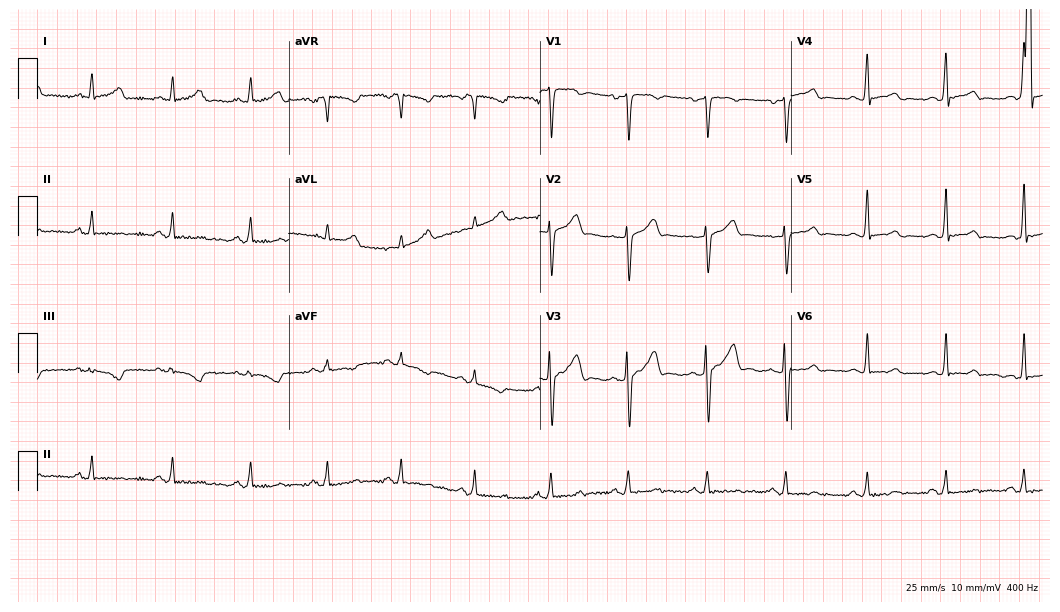
Electrocardiogram (10.2-second recording at 400 Hz), a 33-year-old male patient. Overall reading on record: normal ECG.